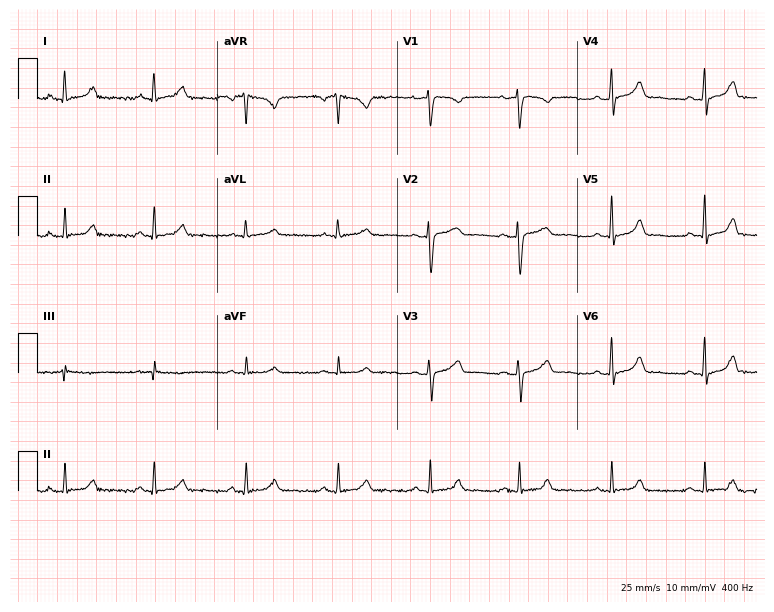
12-lead ECG (7.3-second recording at 400 Hz) from a 40-year-old woman. Screened for six findings — first-degree AV block, right bundle branch block, left bundle branch block, sinus bradycardia, atrial fibrillation, sinus tachycardia — none is recorded. Findings outside these six are not listed.